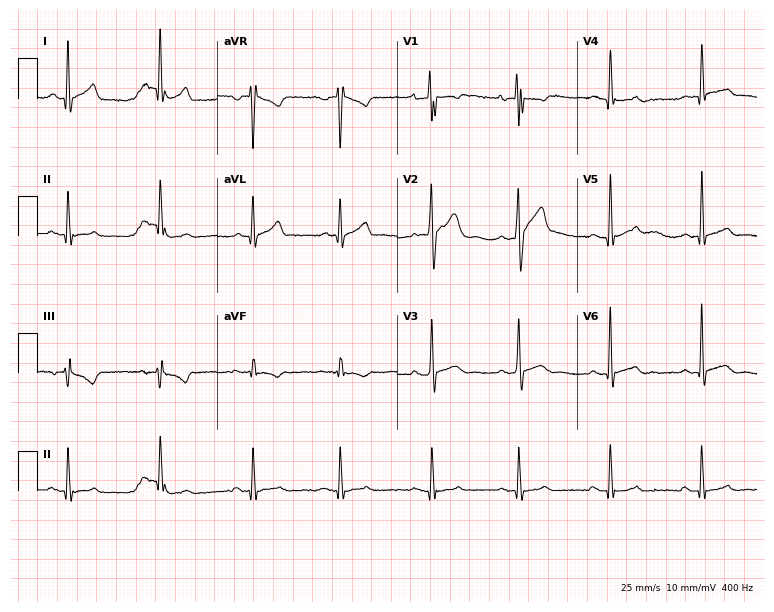
Resting 12-lead electrocardiogram (7.3-second recording at 400 Hz). Patient: a male, 24 years old. Read as a normal ECG.